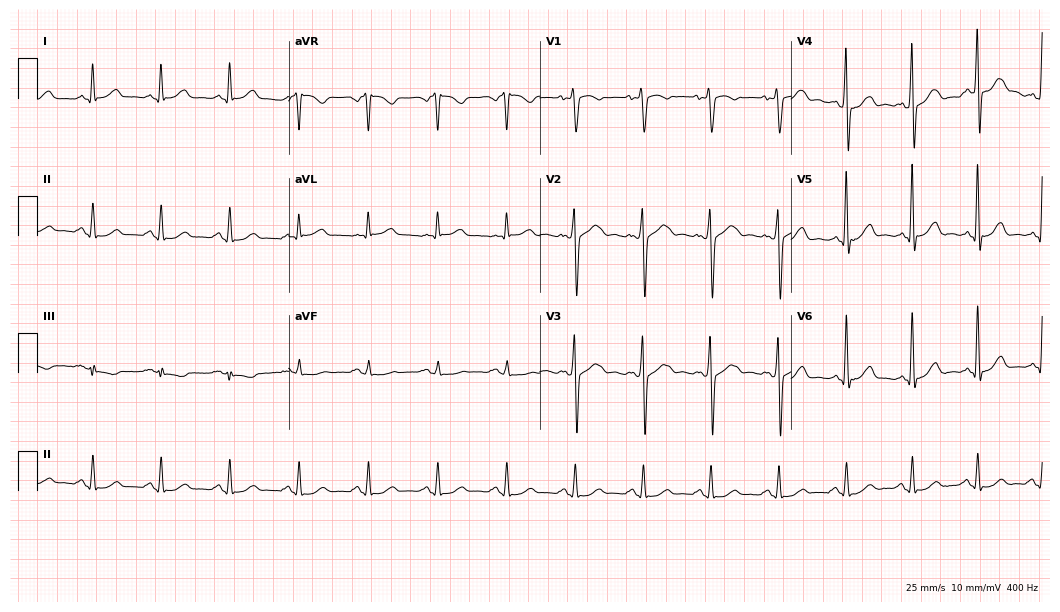
12-lead ECG from a 66-year-old male patient. Recorded interpretation: within normal limits.